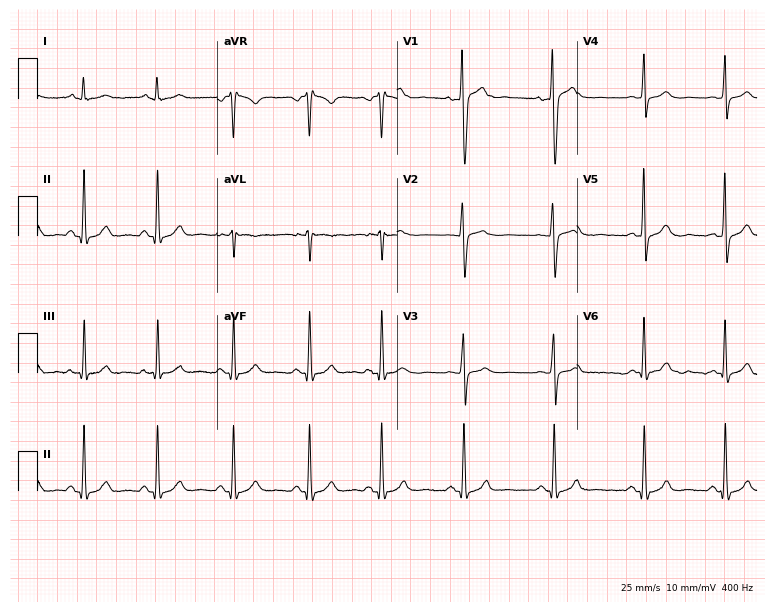
12-lead ECG from a woman, 29 years old. Screened for six findings — first-degree AV block, right bundle branch block, left bundle branch block, sinus bradycardia, atrial fibrillation, sinus tachycardia — none is recorded. Findings outside these six are not listed.